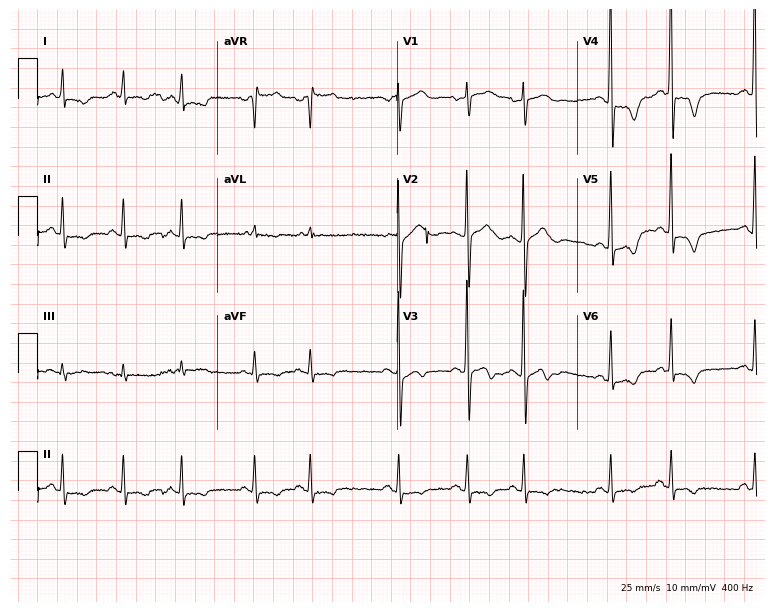
12-lead ECG from a 79-year-old male patient (7.3-second recording at 400 Hz). No first-degree AV block, right bundle branch block, left bundle branch block, sinus bradycardia, atrial fibrillation or sinus tachycardia recorded for this tracing. Other findings, if any, are not listed.